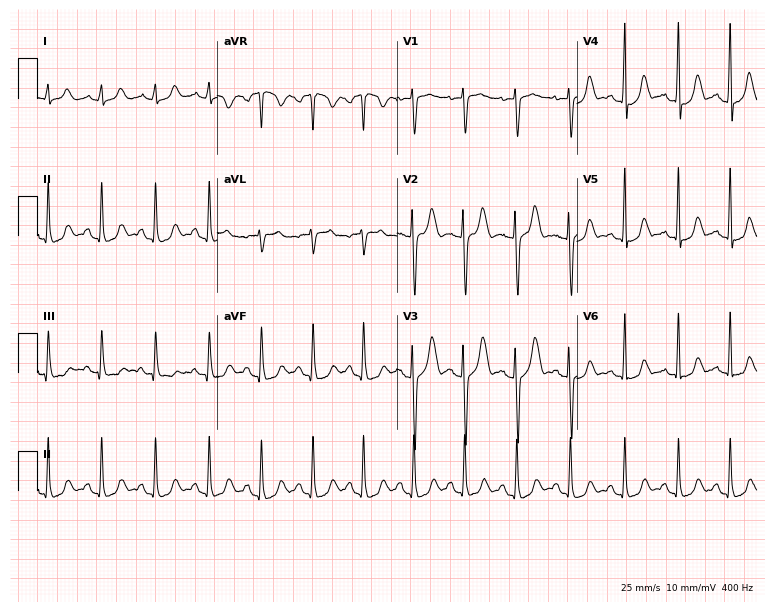
Electrocardiogram, a 20-year-old female patient. Of the six screened findings (first-degree AV block, right bundle branch block, left bundle branch block, sinus bradycardia, atrial fibrillation, sinus tachycardia), none is recorded. Other findings, if any, are not listed.